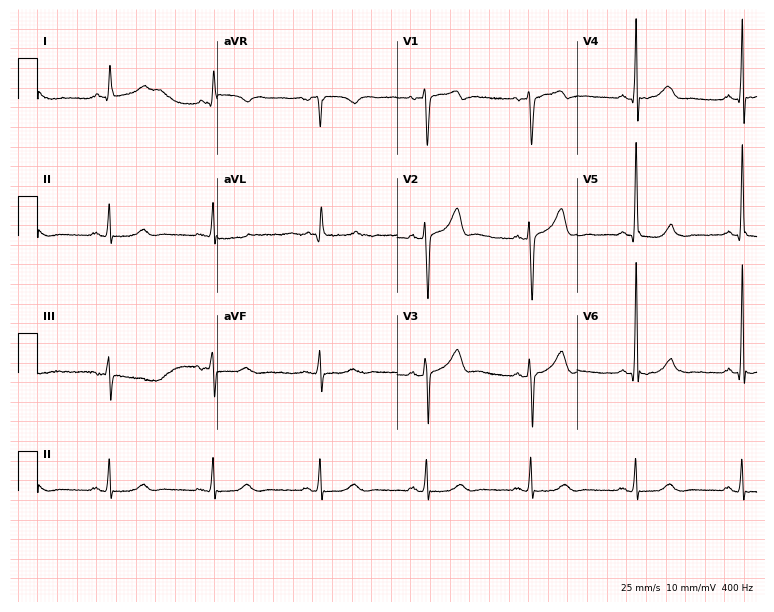
Resting 12-lead electrocardiogram (7.3-second recording at 400 Hz). Patient: a 72-year-old man. Read as a normal ECG.